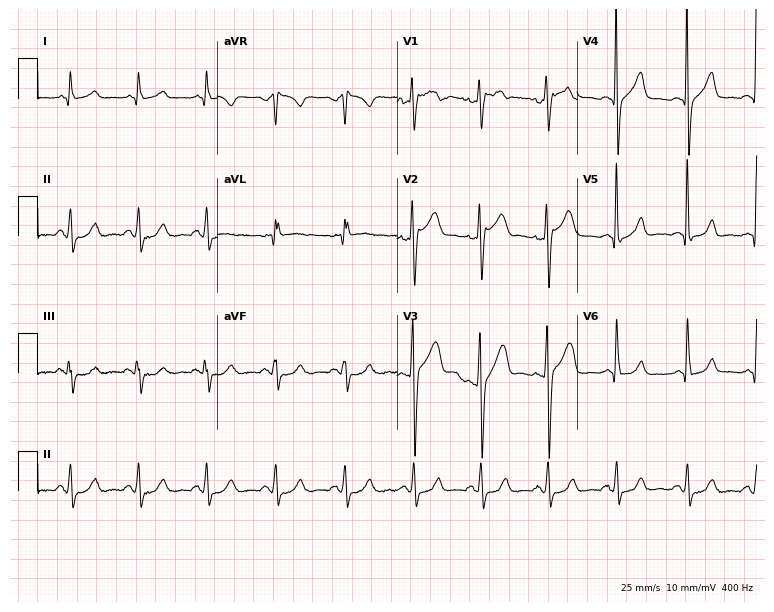
ECG (7.3-second recording at 400 Hz) — a male patient, 39 years old. Screened for six findings — first-degree AV block, right bundle branch block, left bundle branch block, sinus bradycardia, atrial fibrillation, sinus tachycardia — none is recorded. Only these six findings were labelled.